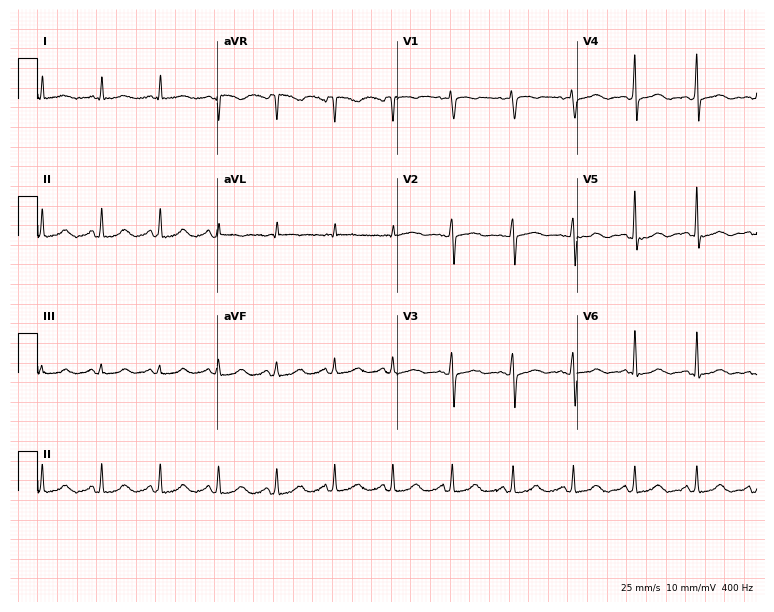
Electrocardiogram, a 57-year-old female patient. Of the six screened findings (first-degree AV block, right bundle branch block, left bundle branch block, sinus bradycardia, atrial fibrillation, sinus tachycardia), none is recorded.